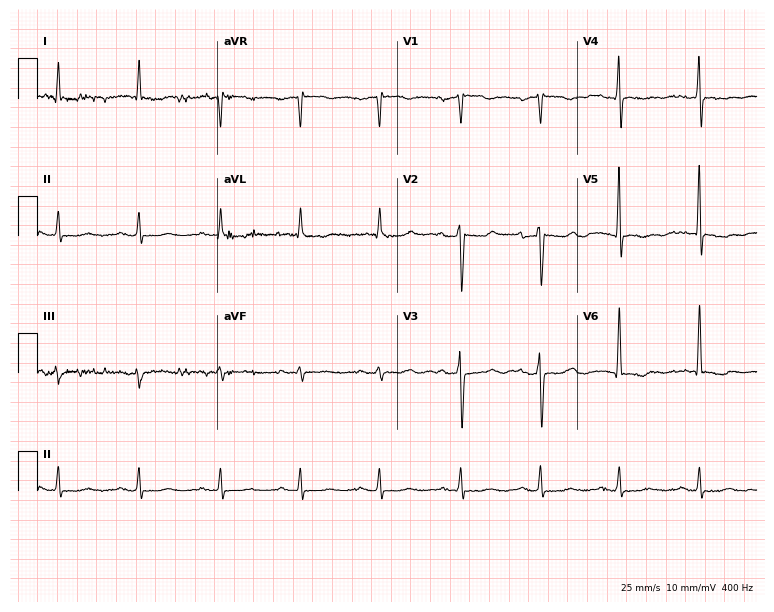
12-lead ECG from an 81-year-old female patient. No first-degree AV block, right bundle branch block, left bundle branch block, sinus bradycardia, atrial fibrillation or sinus tachycardia recorded for this tracing.